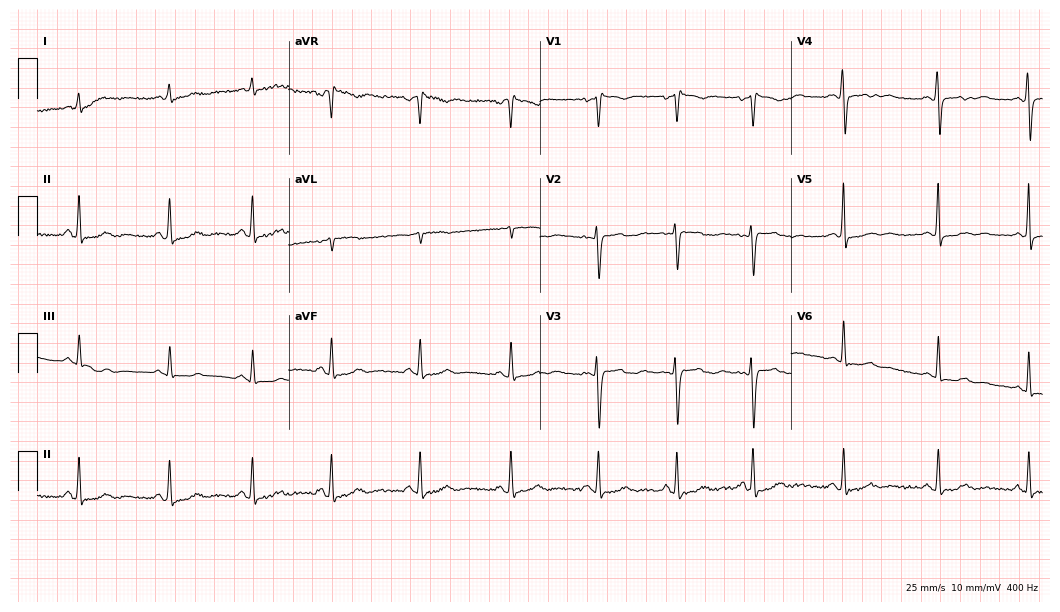
Standard 12-lead ECG recorded from a female patient, 26 years old. None of these six findings is recorded: first-degree AV block, right bundle branch block, left bundle branch block, sinus bradycardia, atrial fibrillation, sinus tachycardia.